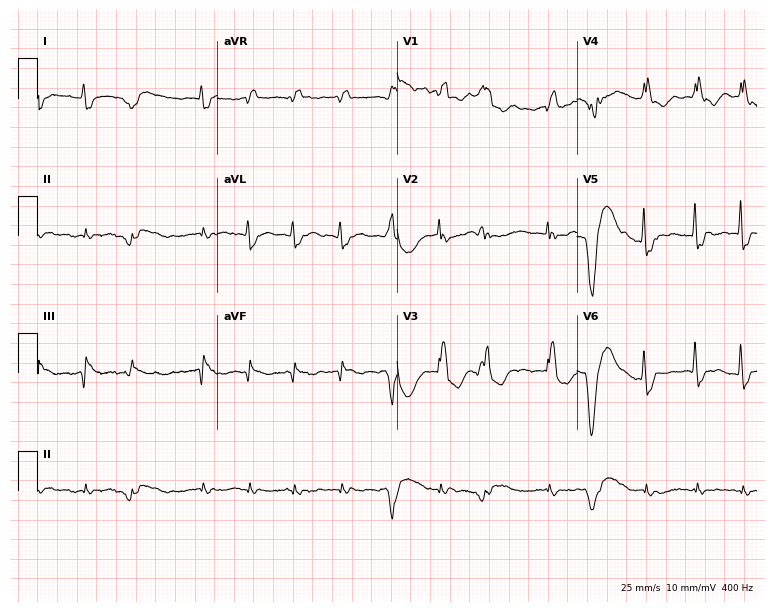
12-lead ECG from an 85-year-old female patient. Shows atrial fibrillation (AF).